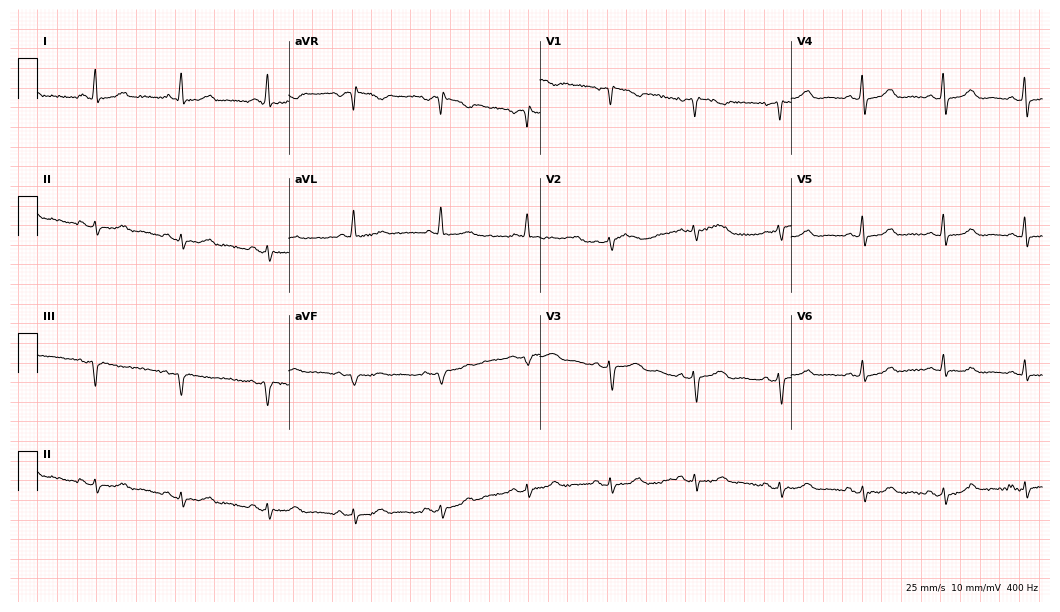
12-lead ECG from a female, 60 years old. Screened for six findings — first-degree AV block, right bundle branch block, left bundle branch block, sinus bradycardia, atrial fibrillation, sinus tachycardia — none is recorded. Only these six findings were labelled.